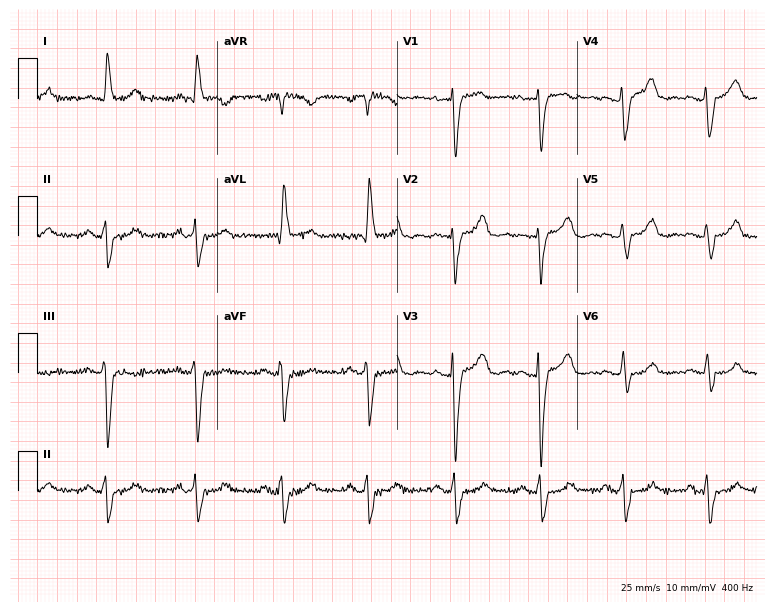
12-lead ECG (7.3-second recording at 400 Hz) from a female, 48 years old. Findings include left bundle branch block.